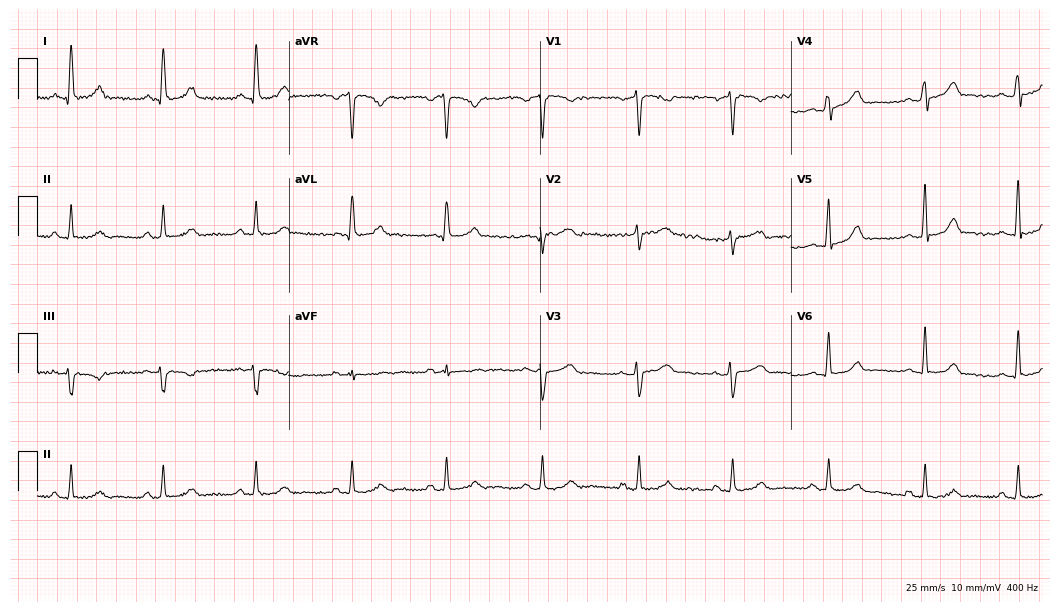
ECG (10.2-second recording at 400 Hz) — a woman, 45 years old. Labelled as a normal ECG.